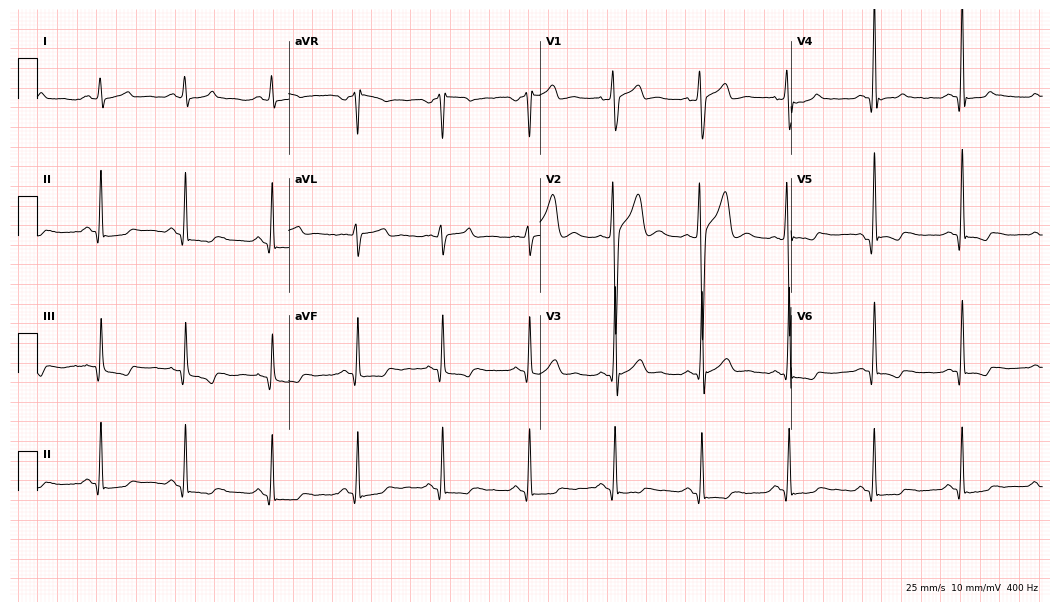
12-lead ECG from a male patient, 32 years old. No first-degree AV block, right bundle branch block (RBBB), left bundle branch block (LBBB), sinus bradycardia, atrial fibrillation (AF) or sinus tachycardia recorded for this tracing. Other findings, if any, are not listed.